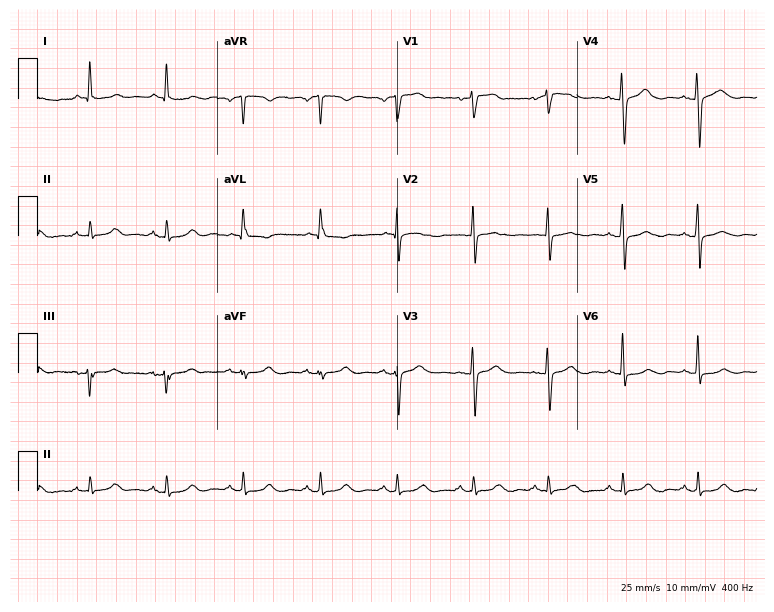
ECG (7.3-second recording at 400 Hz) — a female patient, 63 years old. Labelled as a normal ECG.